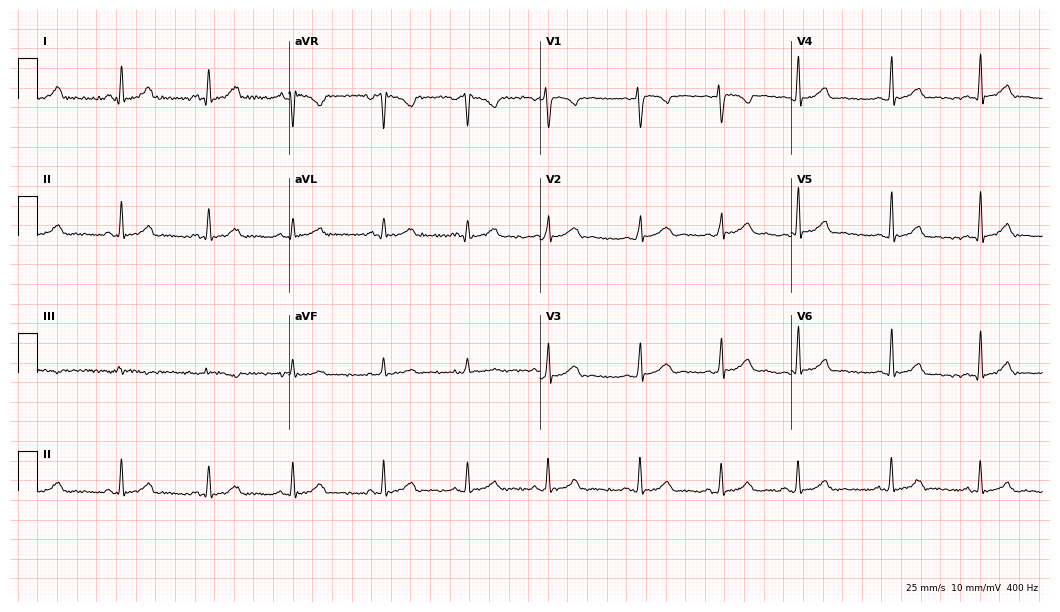
Standard 12-lead ECG recorded from a woman, 19 years old (10.2-second recording at 400 Hz). None of these six findings is recorded: first-degree AV block, right bundle branch block (RBBB), left bundle branch block (LBBB), sinus bradycardia, atrial fibrillation (AF), sinus tachycardia.